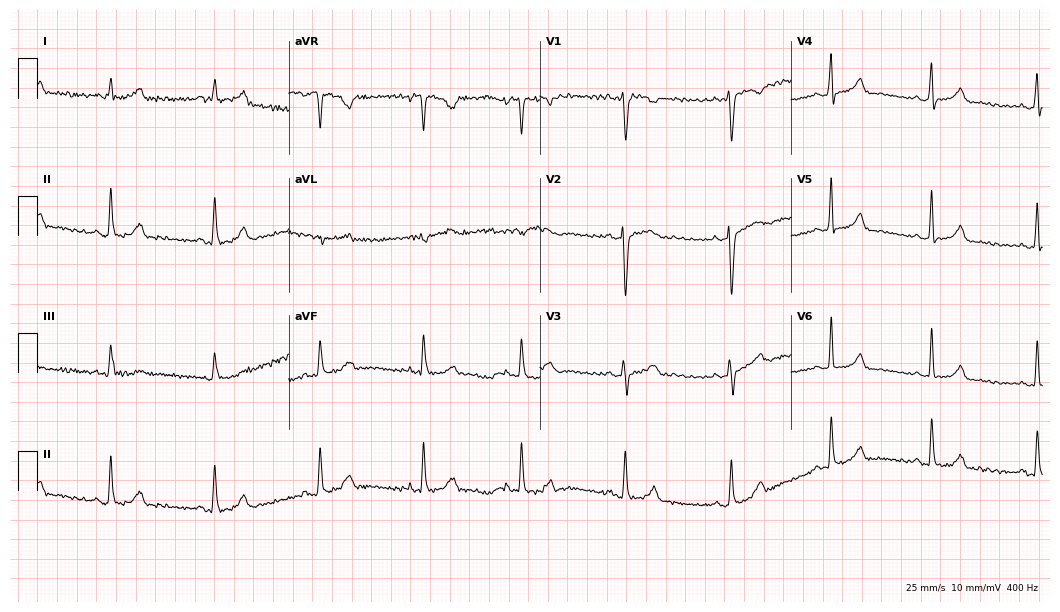
Standard 12-lead ECG recorded from a 35-year-old female. Read as a normal ECG.